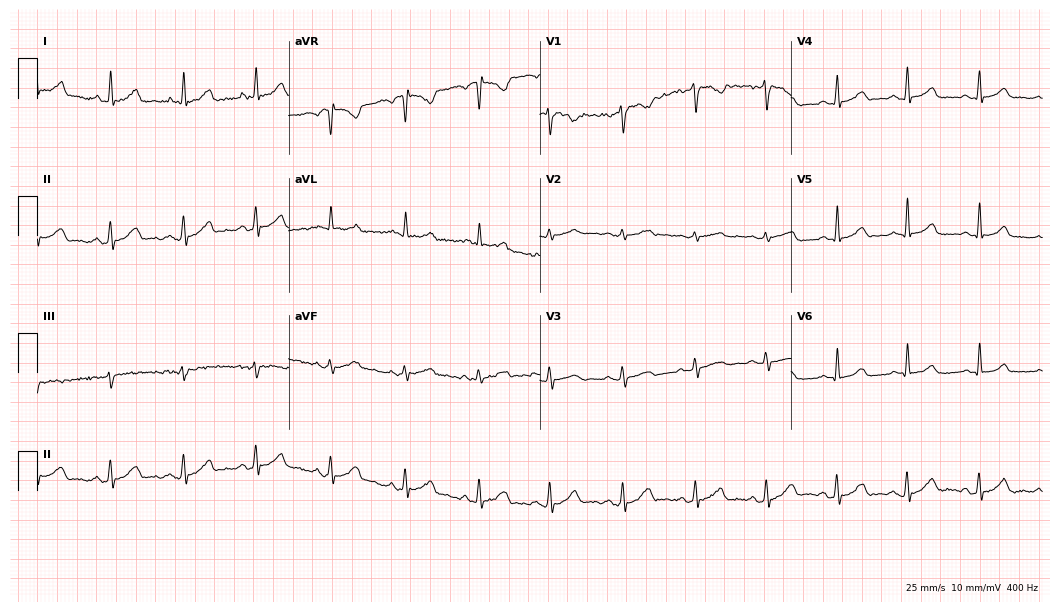
12-lead ECG from a male patient, 39 years old (10.2-second recording at 400 Hz). Recorded interpretation: within normal limits.